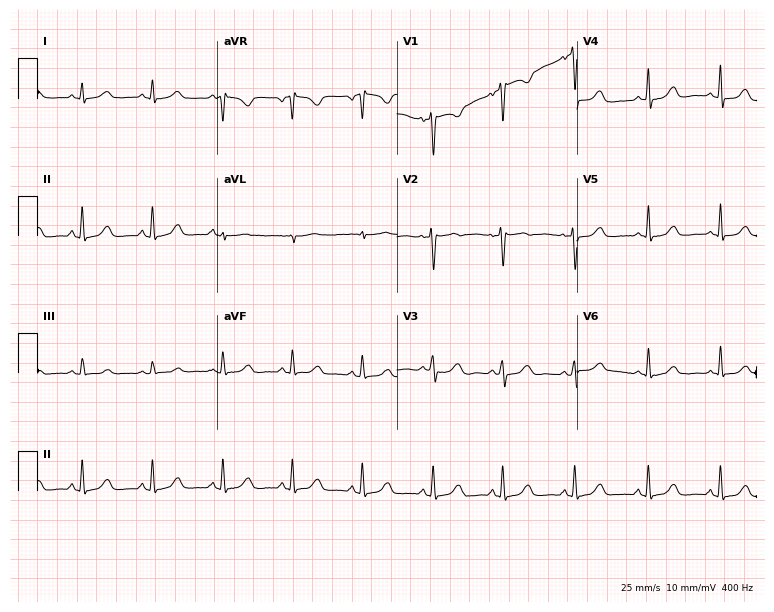
ECG — a 34-year-old female patient. Screened for six findings — first-degree AV block, right bundle branch block, left bundle branch block, sinus bradycardia, atrial fibrillation, sinus tachycardia — none is recorded. Findings outside these six are not listed.